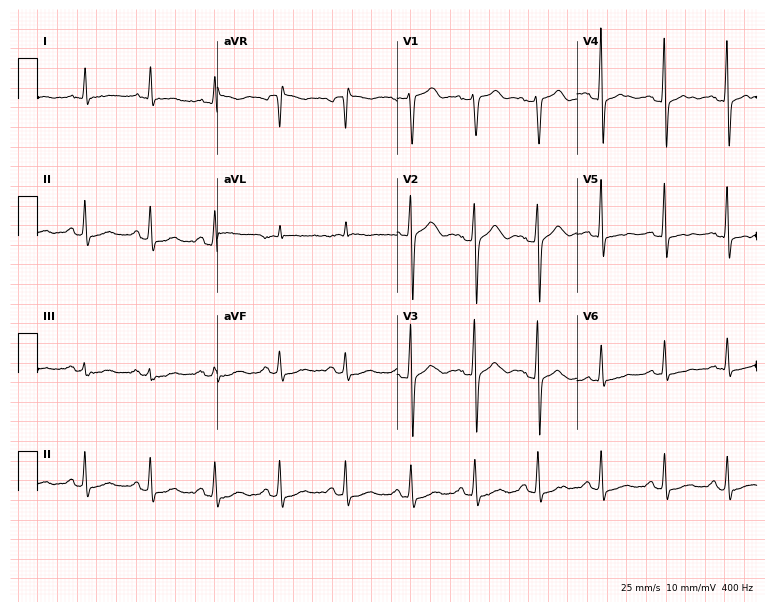
12-lead ECG from a male patient, 57 years old. Screened for six findings — first-degree AV block, right bundle branch block, left bundle branch block, sinus bradycardia, atrial fibrillation, sinus tachycardia — none is recorded. Only these six findings were labelled.